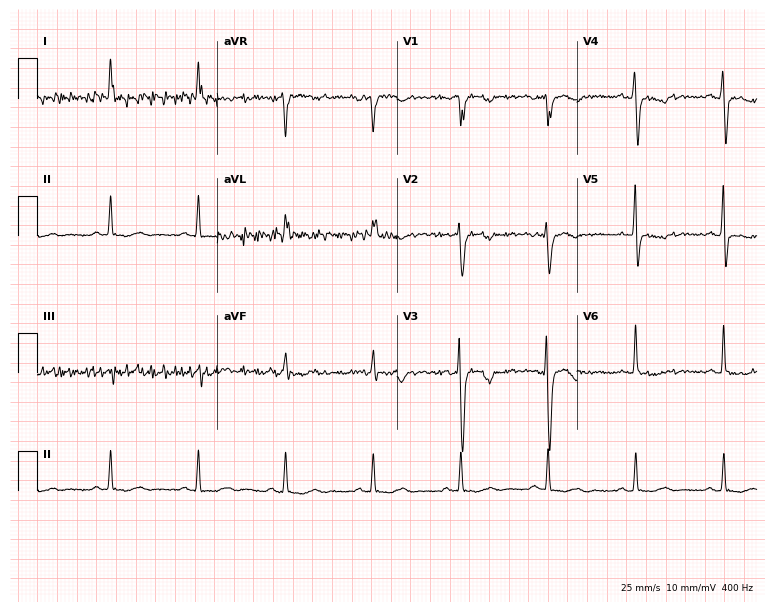
12-lead ECG (7.3-second recording at 400 Hz) from a woman, 61 years old. Screened for six findings — first-degree AV block, right bundle branch block, left bundle branch block, sinus bradycardia, atrial fibrillation, sinus tachycardia — none is recorded. Findings outside these six are not listed.